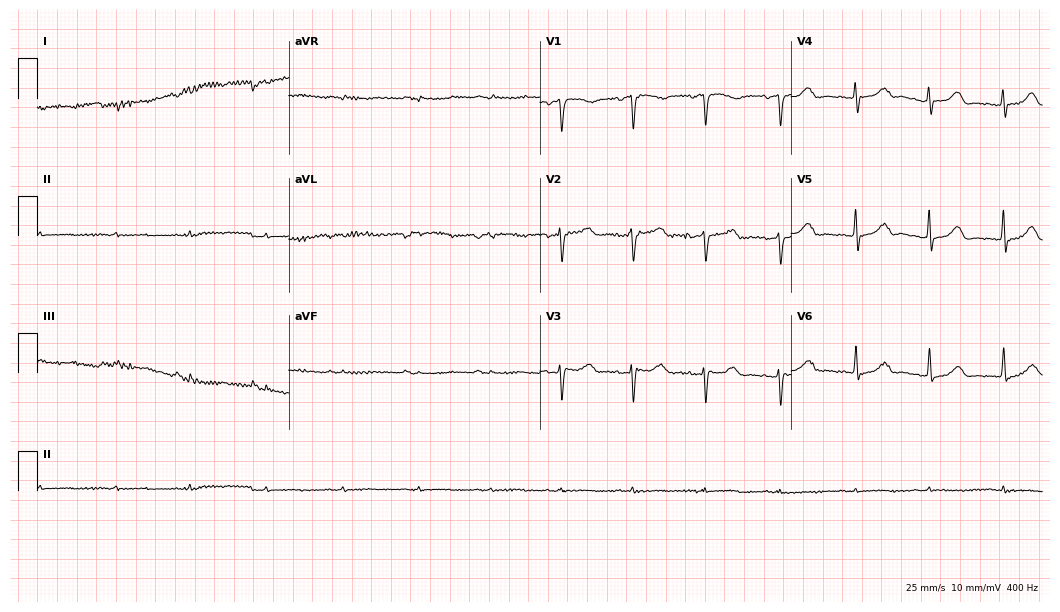
12-lead ECG from a female, 80 years old (10.2-second recording at 400 Hz). No first-degree AV block, right bundle branch block (RBBB), left bundle branch block (LBBB), sinus bradycardia, atrial fibrillation (AF) or sinus tachycardia recorded for this tracing.